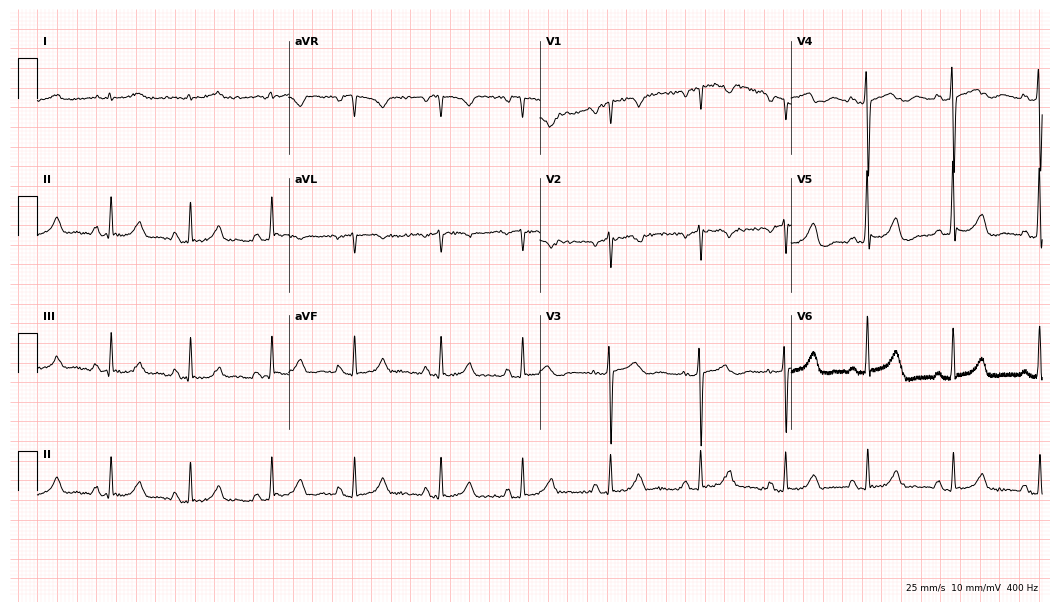
12-lead ECG from a woman, 85 years old. Recorded interpretation: within normal limits.